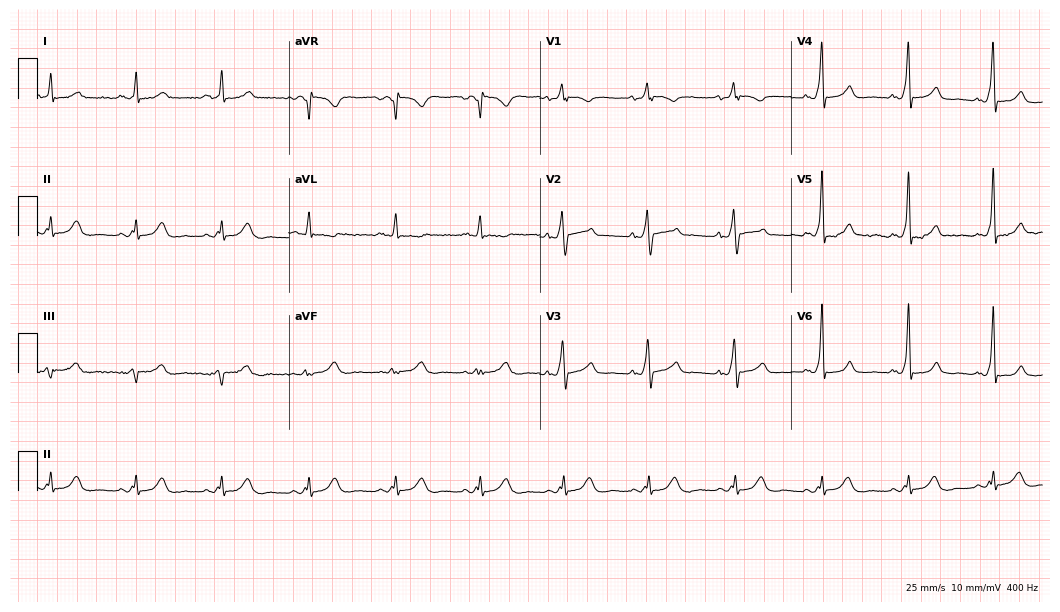
ECG (10.2-second recording at 400 Hz) — a male patient, 65 years old. Screened for six findings — first-degree AV block, right bundle branch block, left bundle branch block, sinus bradycardia, atrial fibrillation, sinus tachycardia — none is recorded. Findings outside these six are not listed.